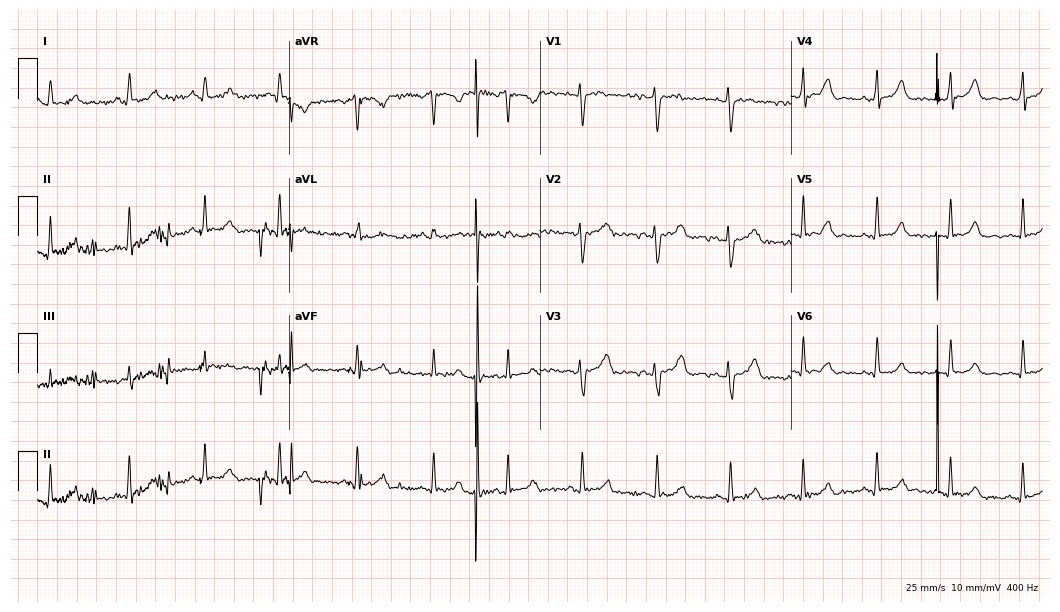
ECG — a 29-year-old female patient. Labelled as a normal ECG.